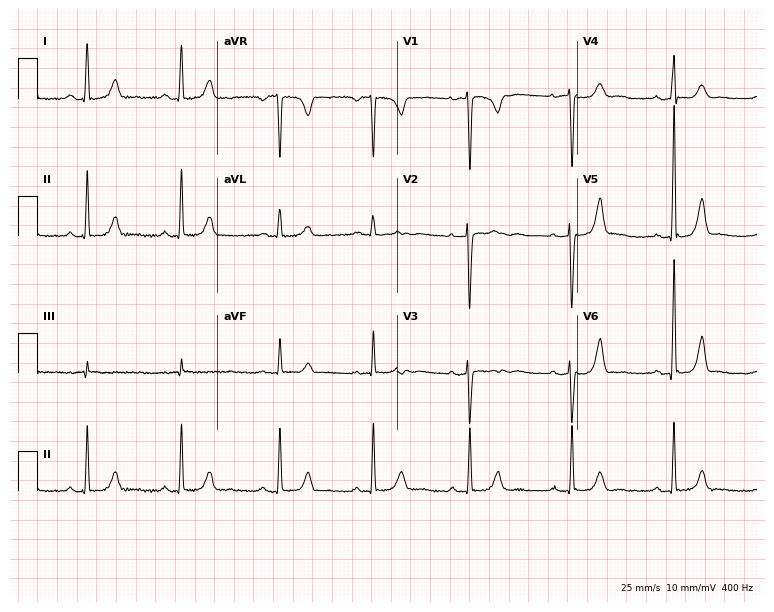
Standard 12-lead ECG recorded from a woman, 27 years old (7.3-second recording at 400 Hz). Read as a normal ECG.